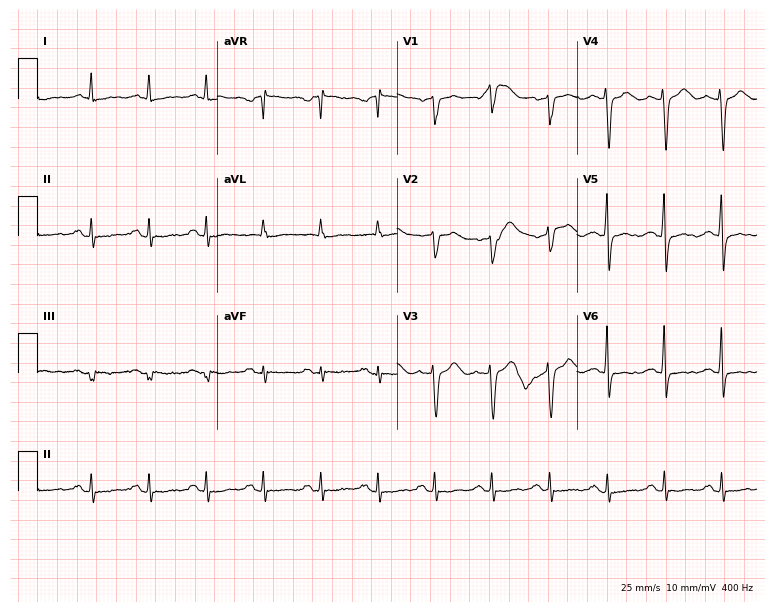
12-lead ECG from a 59-year-old female. Findings include sinus tachycardia (a sinus rate of 100 beats per minute or more).